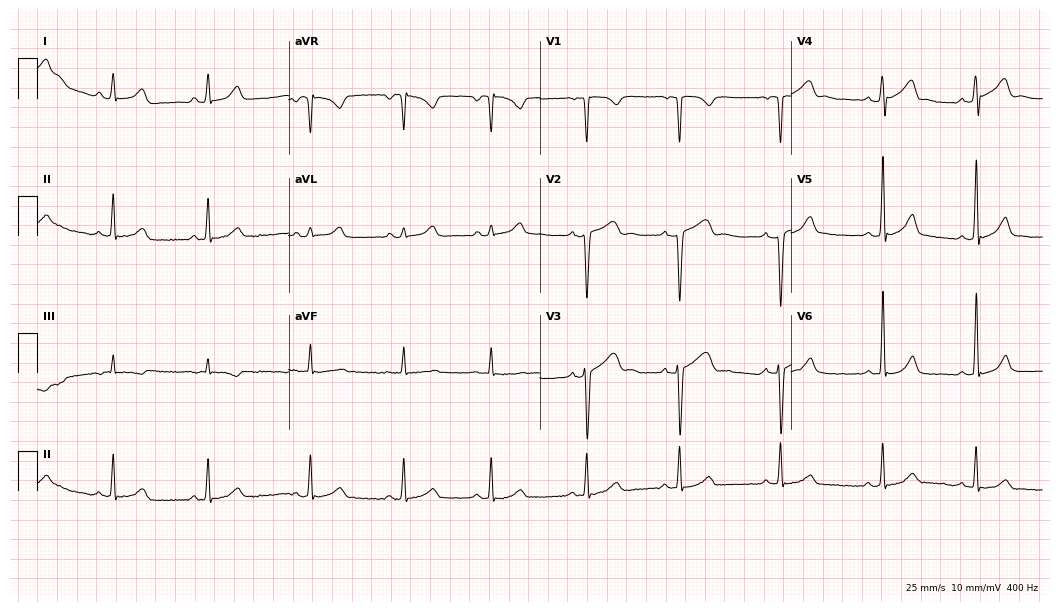
ECG — a male, 23 years old. Labelled as a normal ECG.